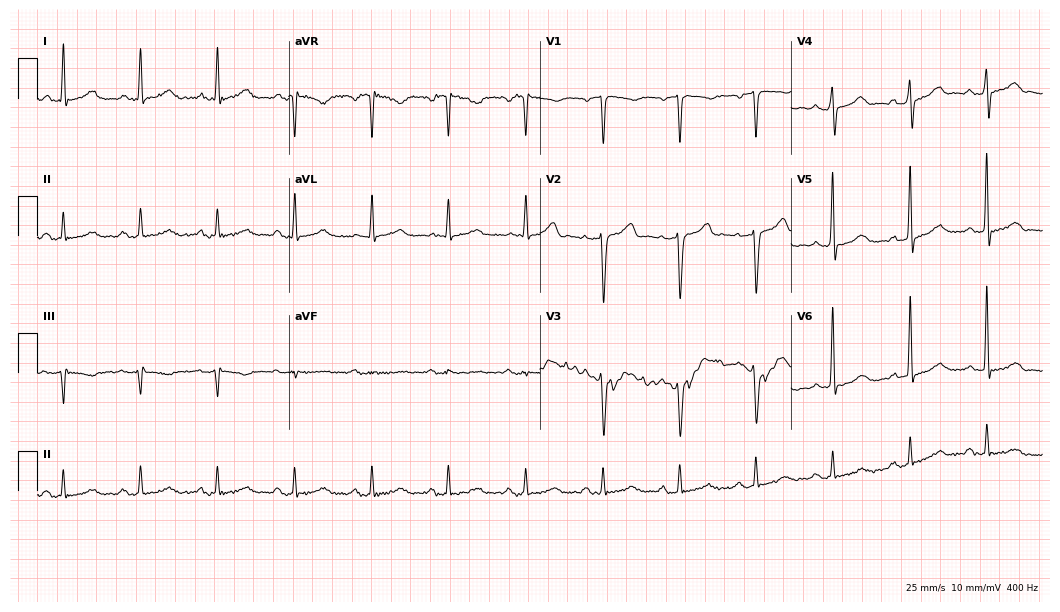
12-lead ECG (10.2-second recording at 400 Hz) from a 52-year-old male patient. Screened for six findings — first-degree AV block, right bundle branch block, left bundle branch block, sinus bradycardia, atrial fibrillation, sinus tachycardia — none is recorded.